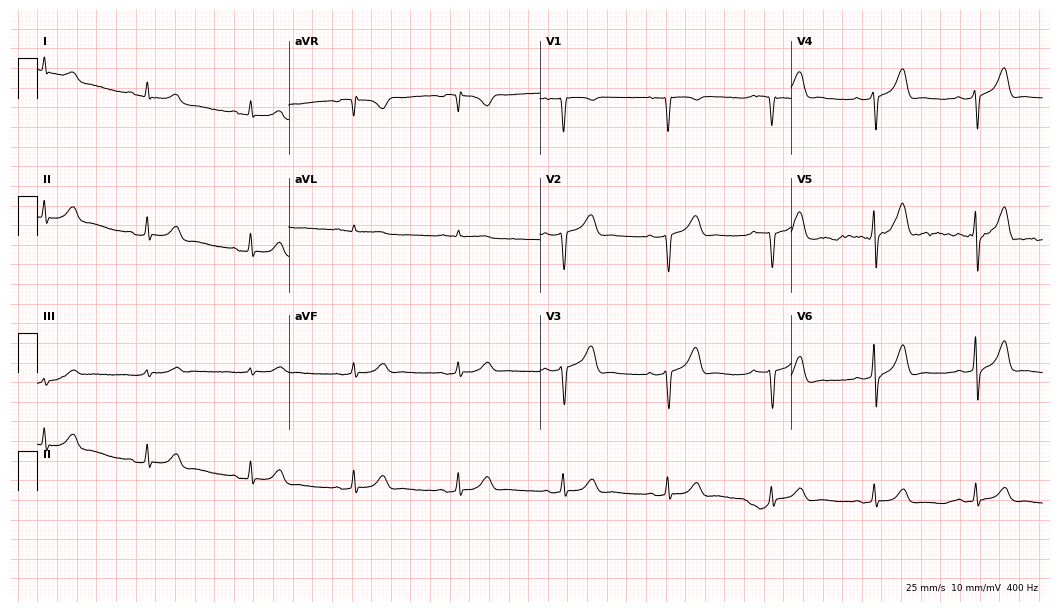
ECG (10.2-second recording at 400 Hz) — a man, 57 years old. Screened for six findings — first-degree AV block, right bundle branch block, left bundle branch block, sinus bradycardia, atrial fibrillation, sinus tachycardia — none is recorded.